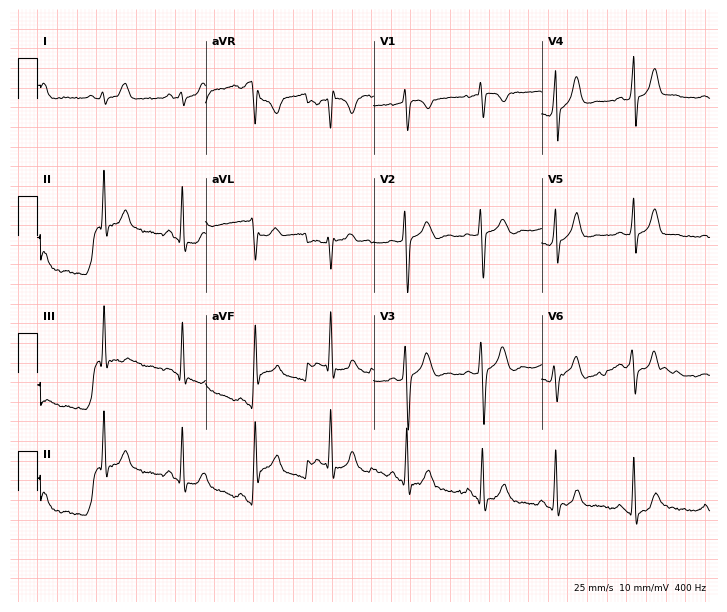
12-lead ECG from a female patient, 22 years old. No first-degree AV block, right bundle branch block, left bundle branch block, sinus bradycardia, atrial fibrillation or sinus tachycardia recorded for this tracing. Findings outside these six are not listed.